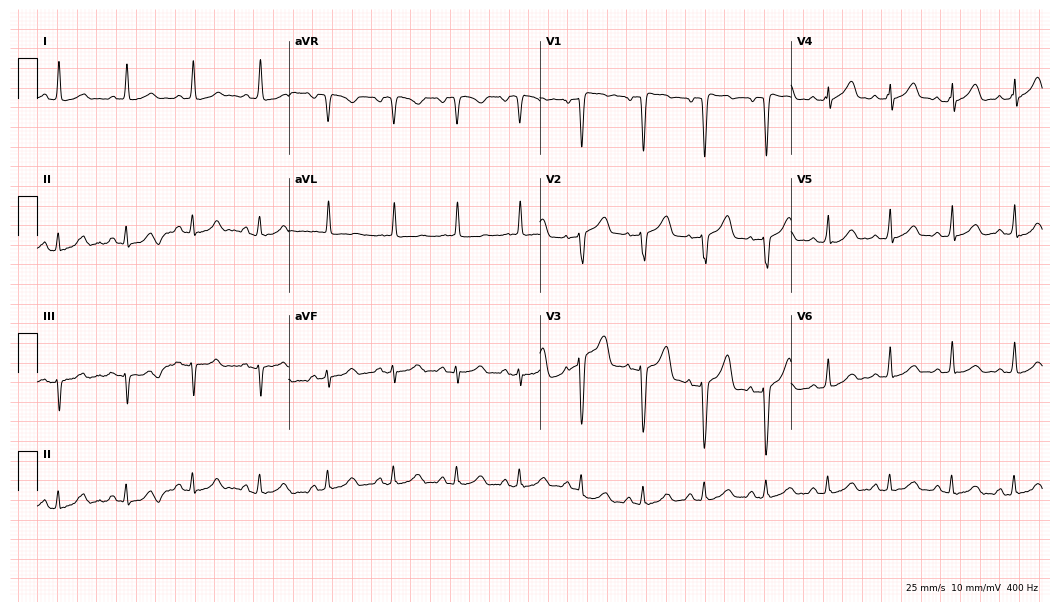
Resting 12-lead electrocardiogram (10.2-second recording at 400 Hz). Patient: a man, 60 years old. Read as a normal ECG.